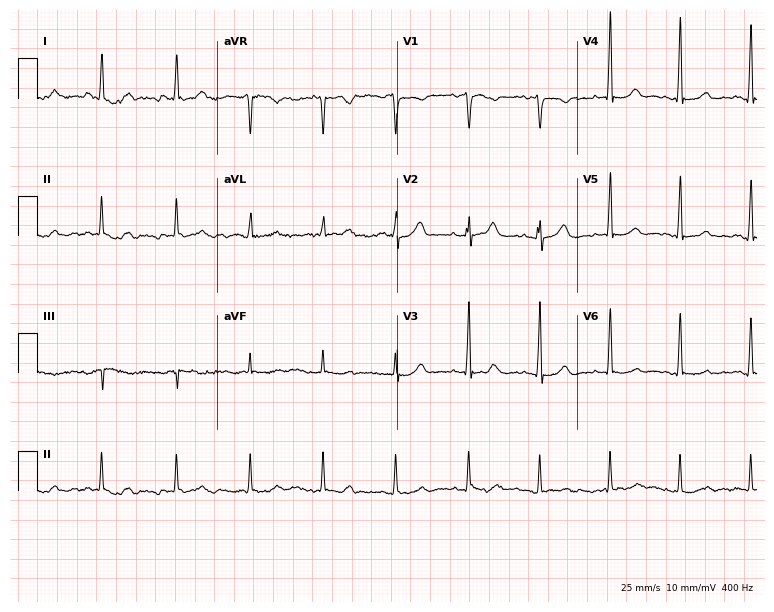
12-lead ECG (7.3-second recording at 400 Hz) from a female, 42 years old. Screened for six findings — first-degree AV block, right bundle branch block, left bundle branch block, sinus bradycardia, atrial fibrillation, sinus tachycardia — none is recorded.